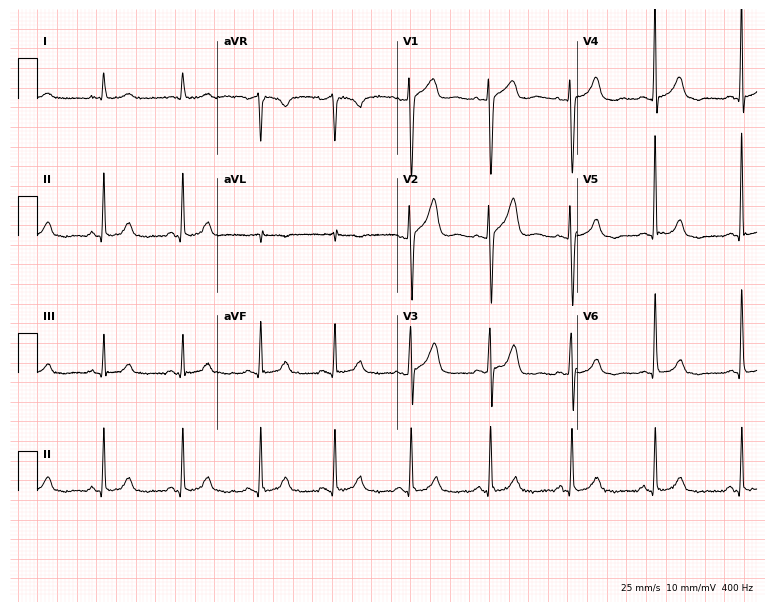
ECG (7.3-second recording at 400 Hz) — a male, 68 years old. Screened for six findings — first-degree AV block, right bundle branch block (RBBB), left bundle branch block (LBBB), sinus bradycardia, atrial fibrillation (AF), sinus tachycardia — none is recorded.